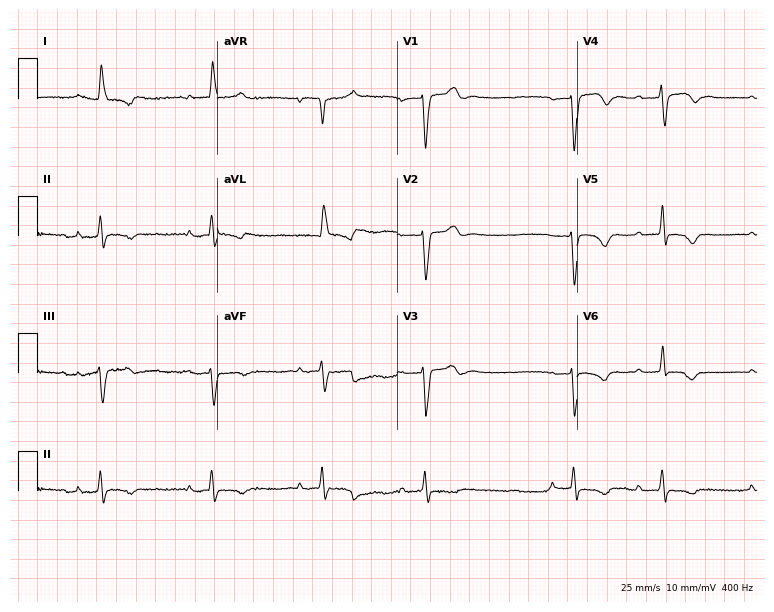
Standard 12-lead ECG recorded from an 80-year-old woman (7.3-second recording at 400 Hz). The tracing shows first-degree AV block.